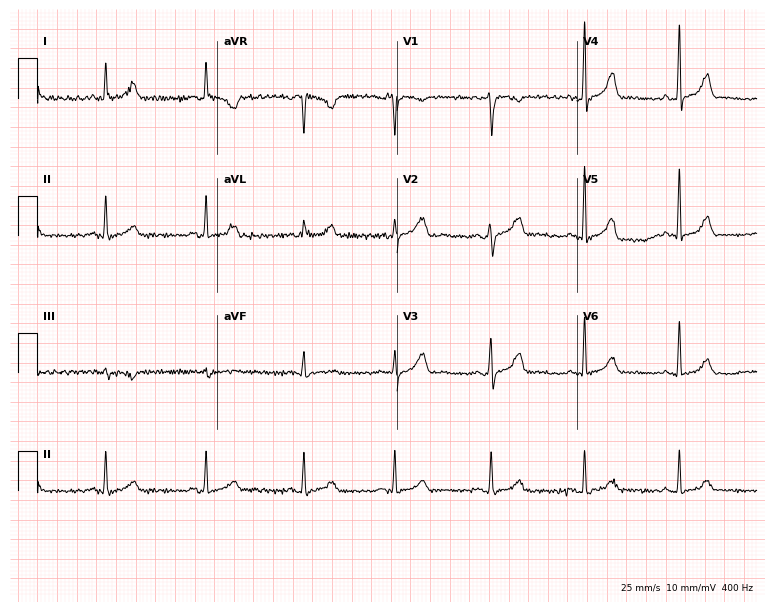
Resting 12-lead electrocardiogram. Patient: a female, 44 years old. Read as a normal ECG.